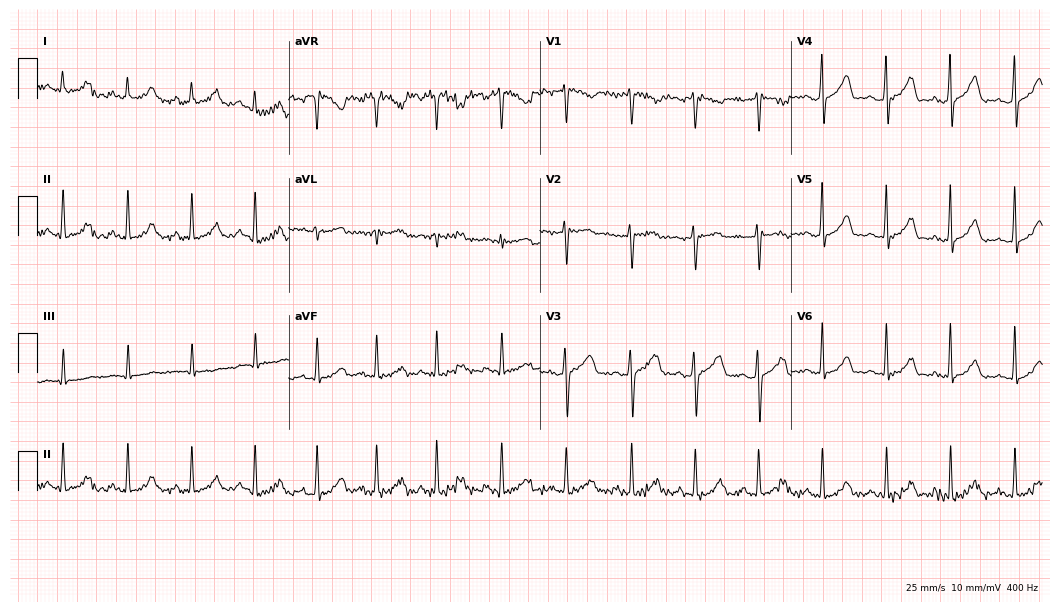
12-lead ECG from a woman, 23 years old. Screened for six findings — first-degree AV block, right bundle branch block, left bundle branch block, sinus bradycardia, atrial fibrillation, sinus tachycardia — none is recorded. Only these six findings were labelled.